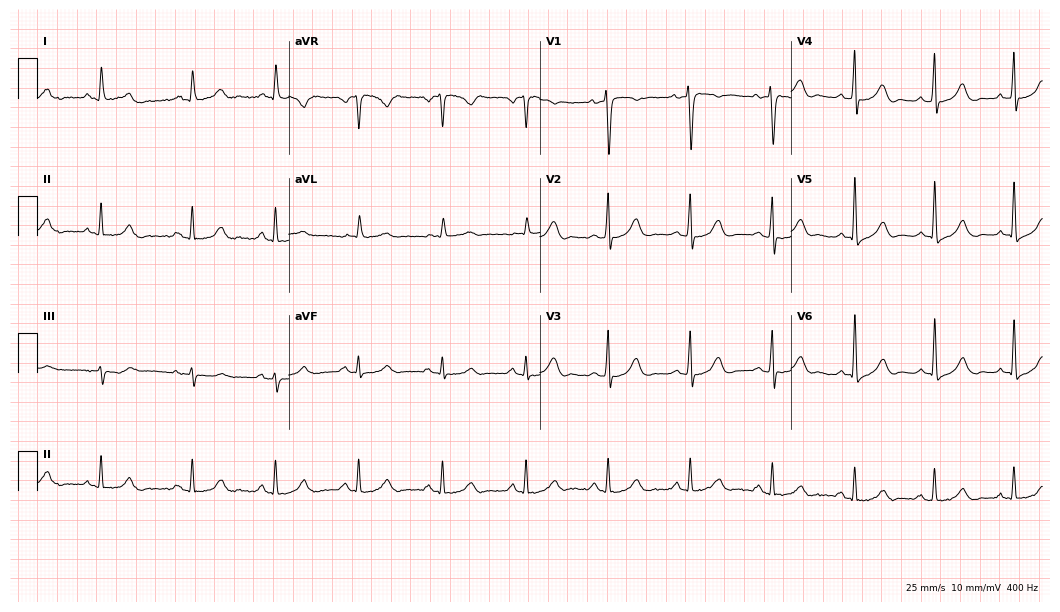
Standard 12-lead ECG recorded from a male, 72 years old. Read as a normal ECG.